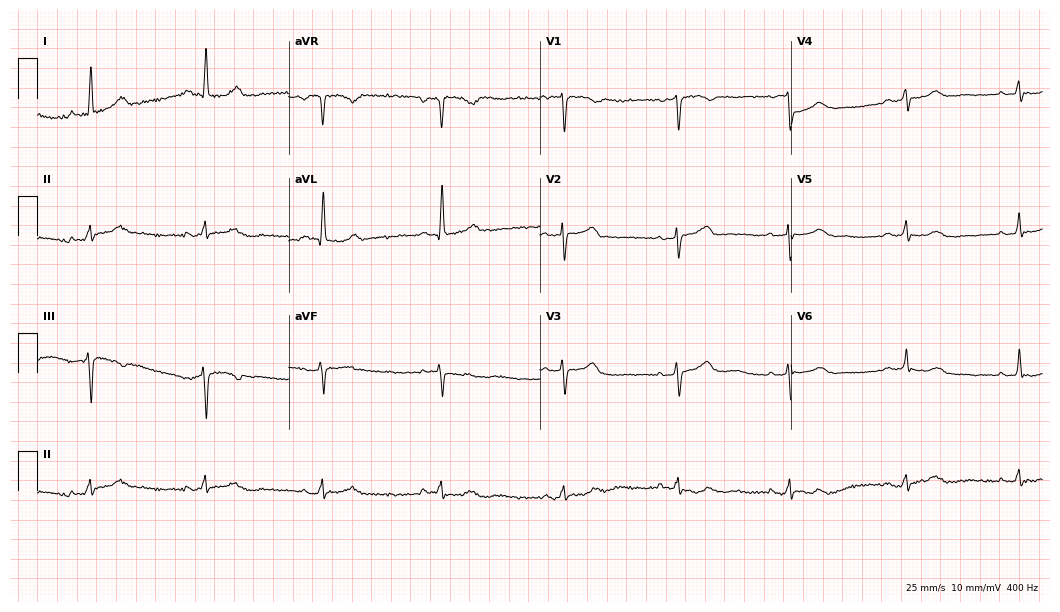
Standard 12-lead ECG recorded from a woman, 53 years old (10.2-second recording at 400 Hz). Read as a normal ECG.